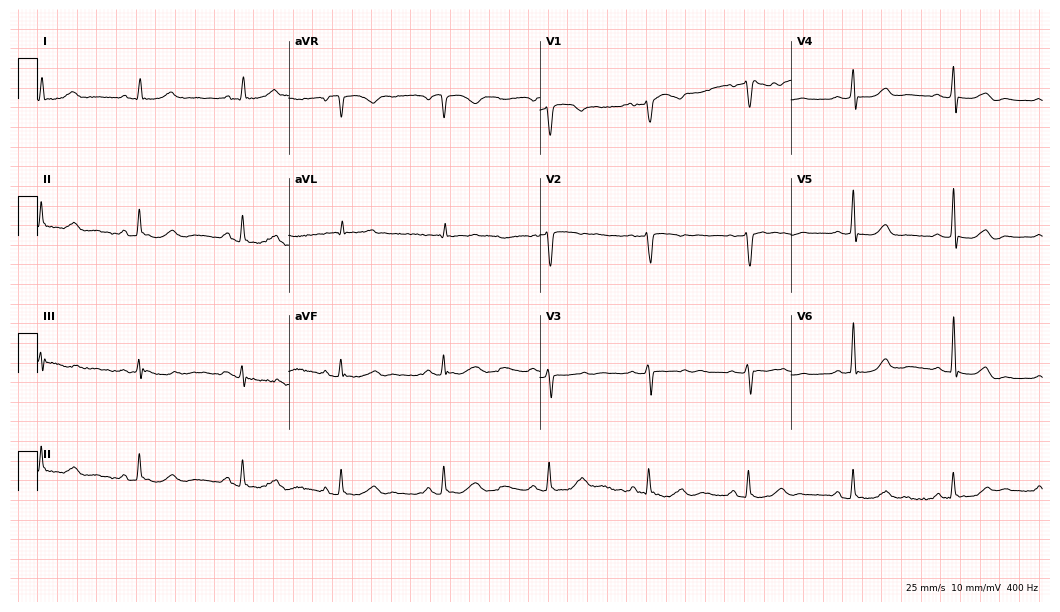
Resting 12-lead electrocardiogram (10.2-second recording at 400 Hz). Patient: a female, 76 years old. None of these six findings is recorded: first-degree AV block, right bundle branch block, left bundle branch block, sinus bradycardia, atrial fibrillation, sinus tachycardia.